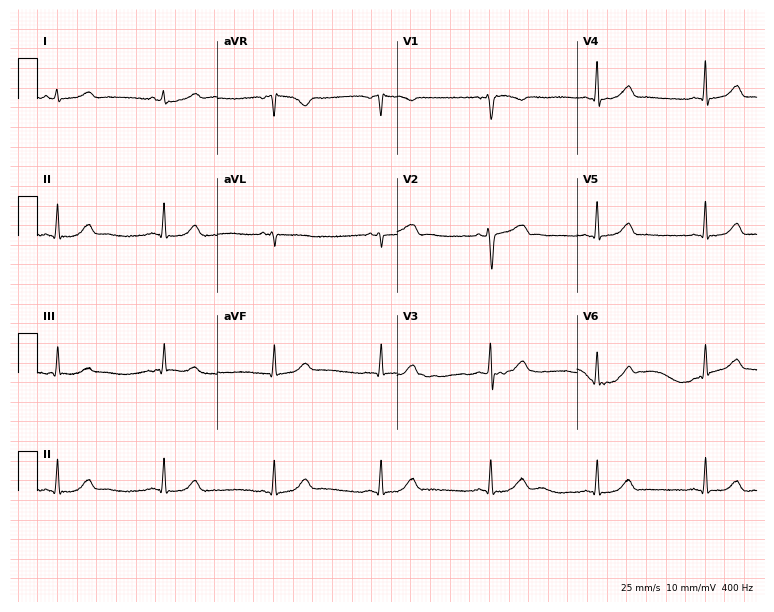
Resting 12-lead electrocardiogram. Patient: a female, 38 years old. None of these six findings is recorded: first-degree AV block, right bundle branch block, left bundle branch block, sinus bradycardia, atrial fibrillation, sinus tachycardia. Findings outside these six are not listed.